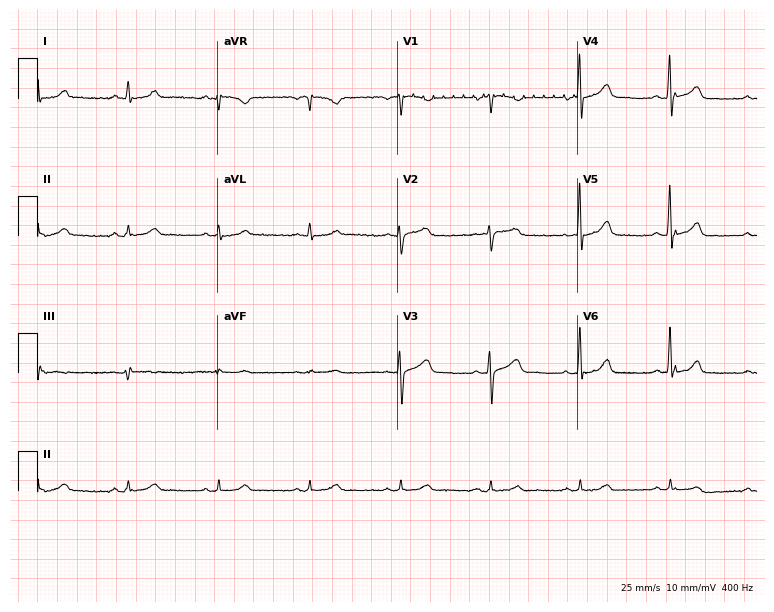
ECG — a man, 70 years old. Labelled as a normal ECG.